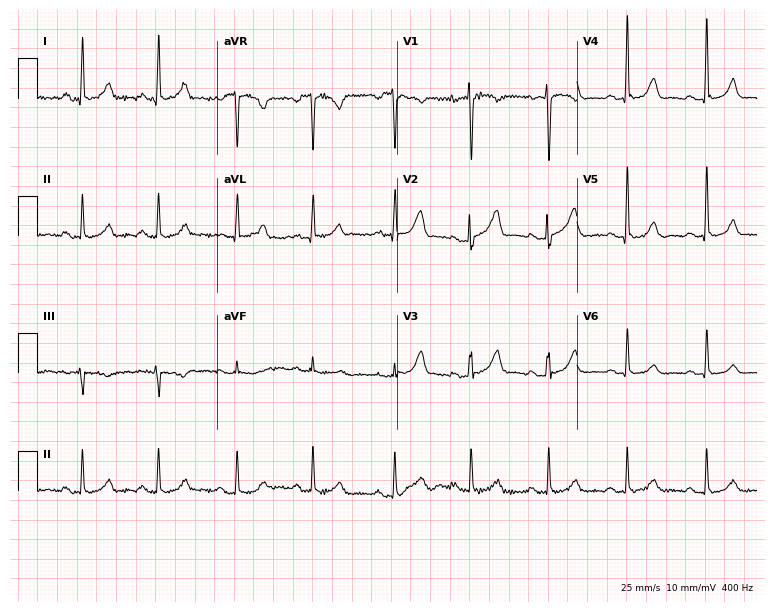
Electrocardiogram, a female patient, 36 years old. Overall reading on record: normal ECG.